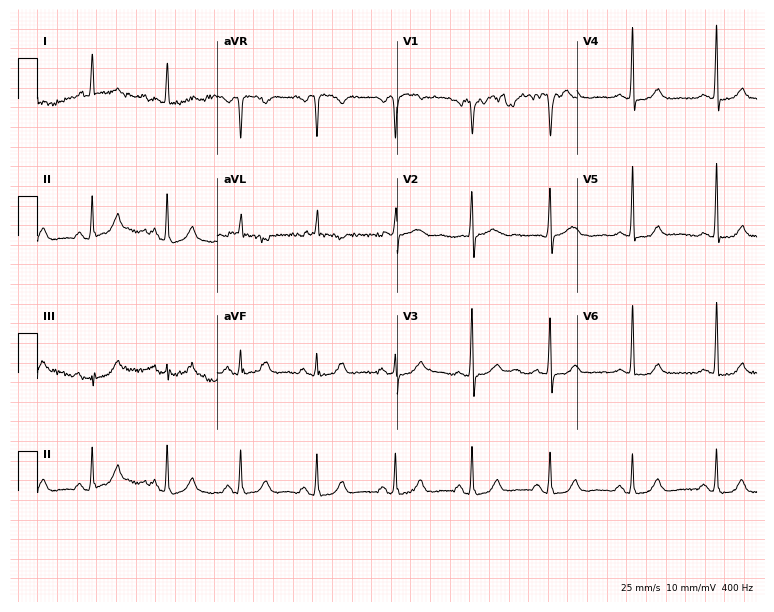
12-lead ECG (7.3-second recording at 400 Hz) from a 71-year-old female patient. Screened for six findings — first-degree AV block, right bundle branch block, left bundle branch block, sinus bradycardia, atrial fibrillation, sinus tachycardia — none is recorded. Only these six findings were labelled.